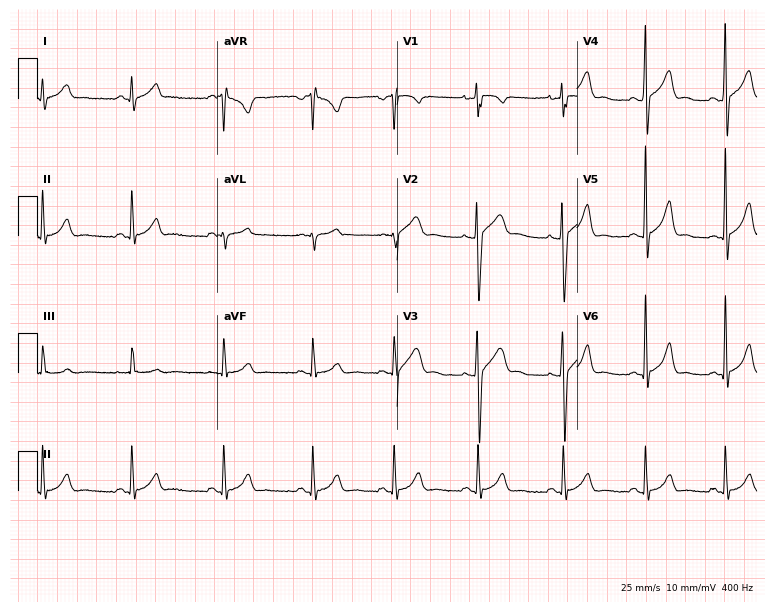
12-lead ECG from a male, 23 years old. Labelled as a normal ECG.